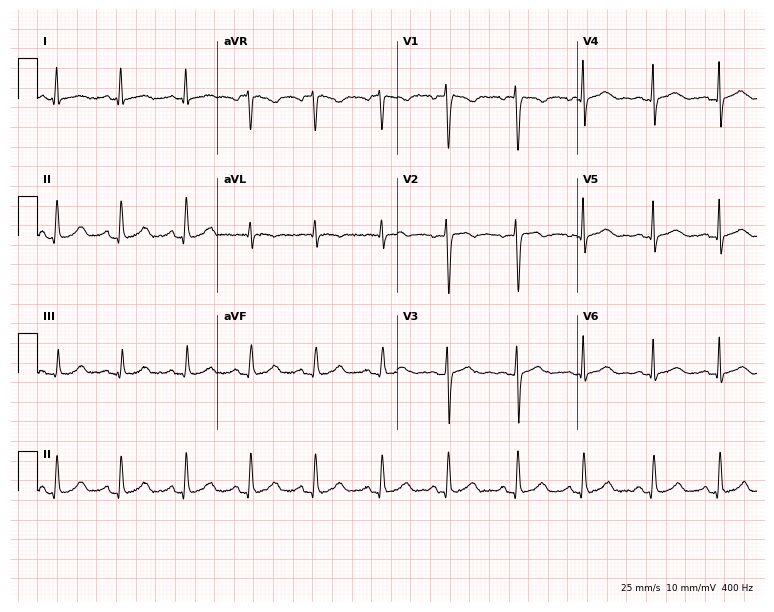
12-lead ECG from a woman, 32 years old. Labelled as a normal ECG.